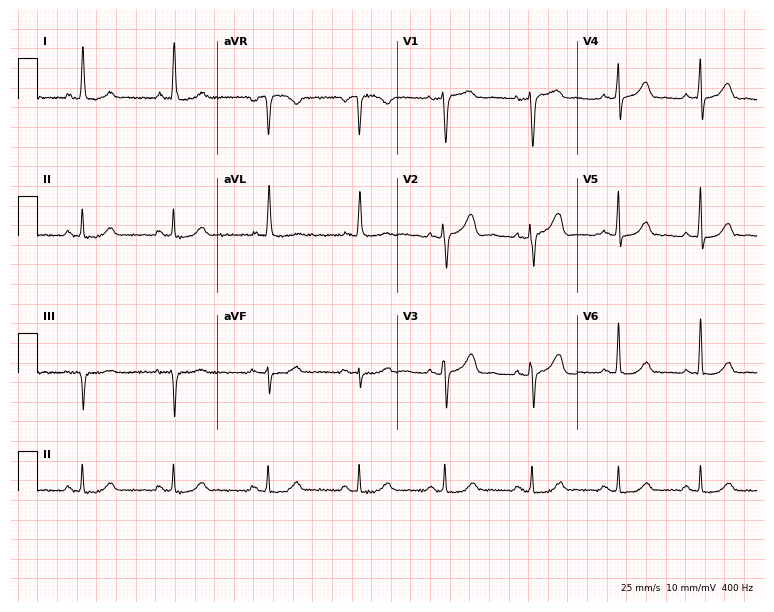
ECG (7.3-second recording at 400 Hz) — a female patient, 58 years old. Screened for six findings — first-degree AV block, right bundle branch block, left bundle branch block, sinus bradycardia, atrial fibrillation, sinus tachycardia — none is recorded.